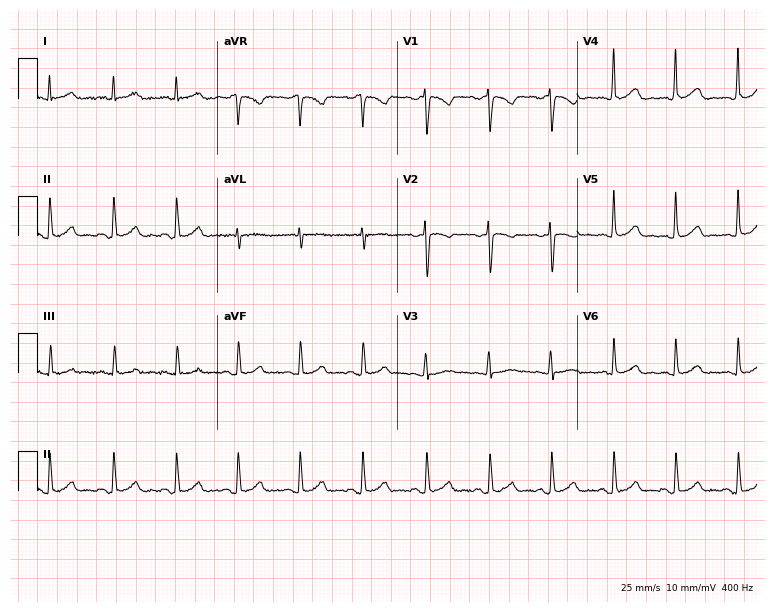
Resting 12-lead electrocardiogram (7.3-second recording at 400 Hz). Patient: a 31-year-old female. Read as a normal ECG.